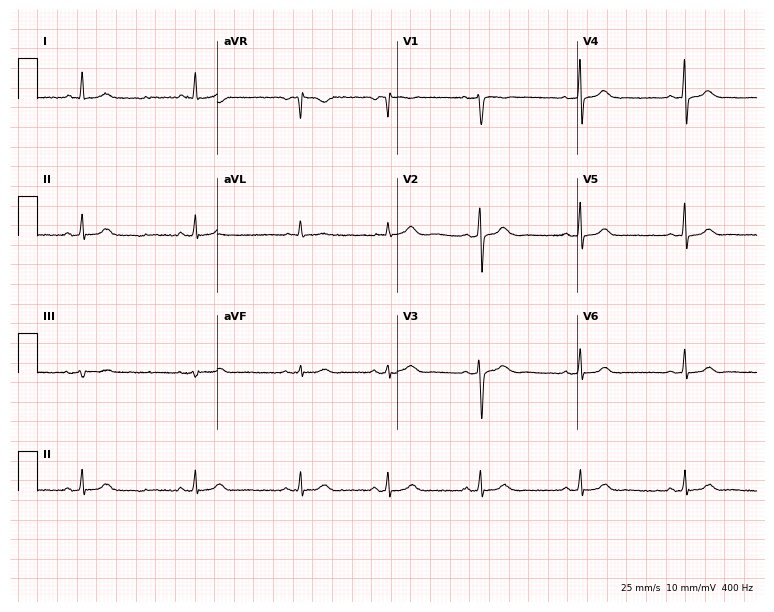
ECG — a 38-year-old woman. Labelled as a normal ECG.